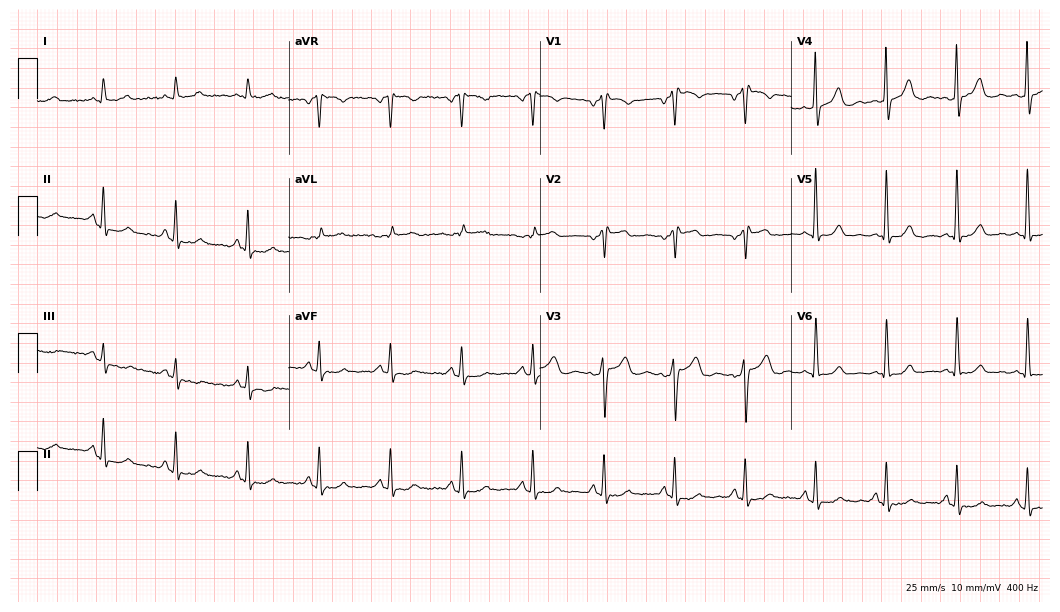
12-lead ECG from a male, 60 years old (10.2-second recording at 400 Hz). No first-degree AV block, right bundle branch block (RBBB), left bundle branch block (LBBB), sinus bradycardia, atrial fibrillation (AF) or sinus tachycardia recorded for this tracing.